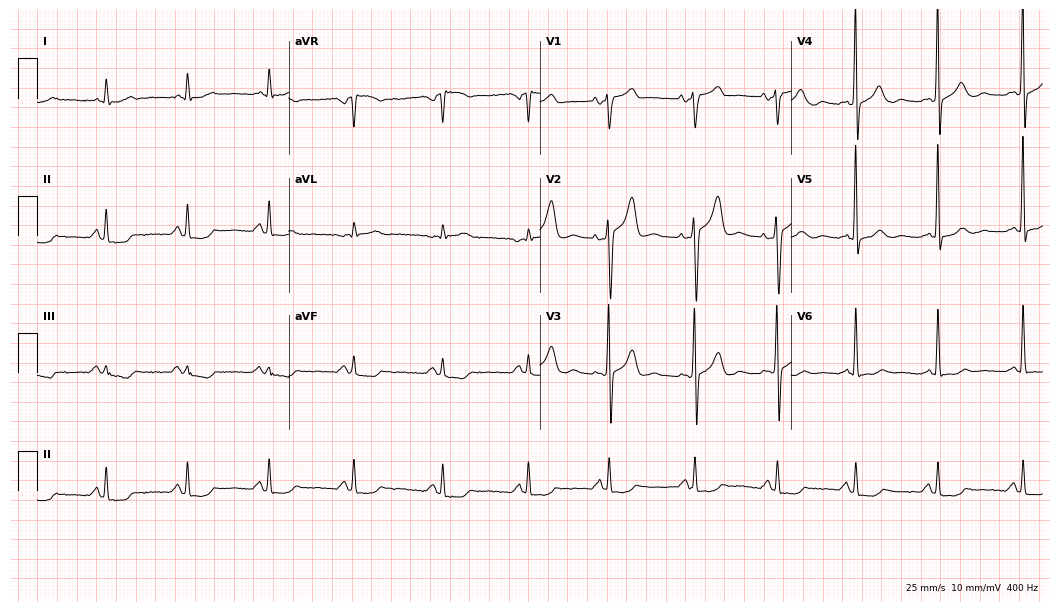
Resting 12-lead electrocardiogram (10.2-second recording at 400 Hz). Patient: a 67-year-old male. None of these six findings is recorded: first-degree AV block, right bundle branch block, left bundle branch block, sinus bradycardia, atrial fibrillation, sinus tachycardia.